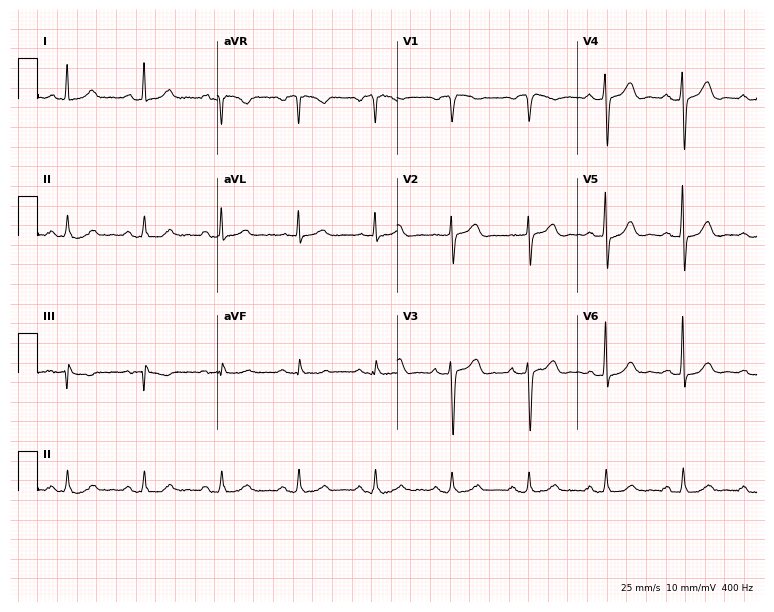
ECG (7.3-second recording at 400 Hz) — a male patient, 73 years old. Labelled as a normal ECG.